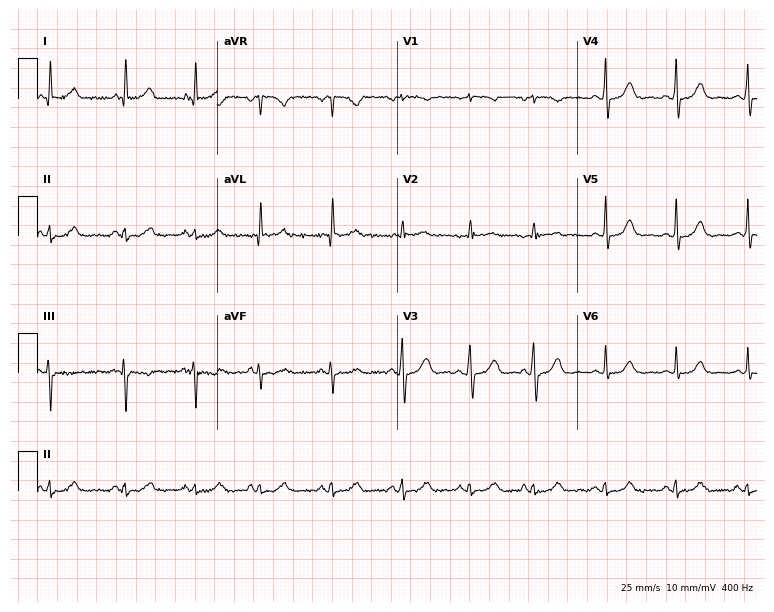
Resting 12-lead electrocardiogram. Patient: a 69-year-old female. Read as a normal ECG.